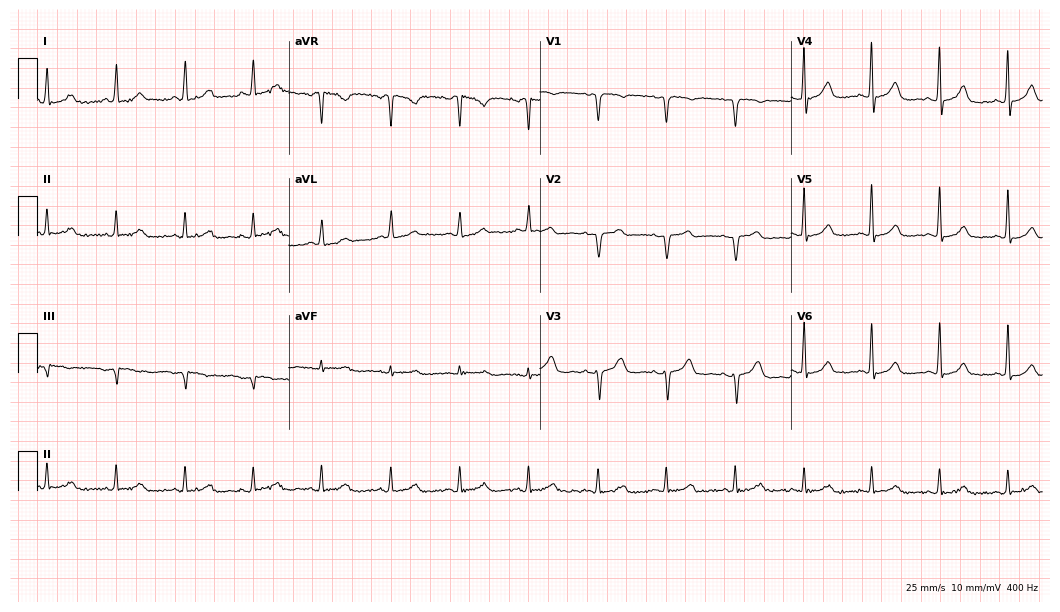
ECG — a female patient, 73 years old. Labelled as a normal ECG.